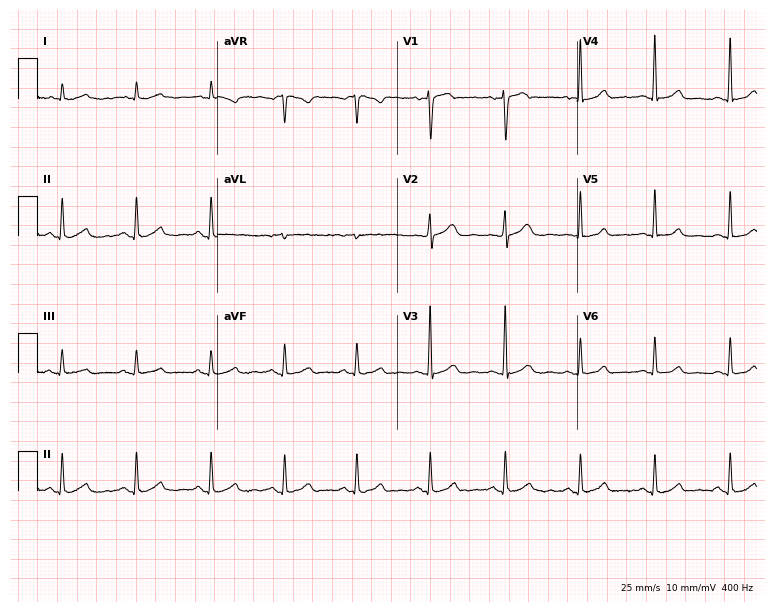
12-lead ECG from a female, 60 years old. Recorded interpretation: within normal limits.